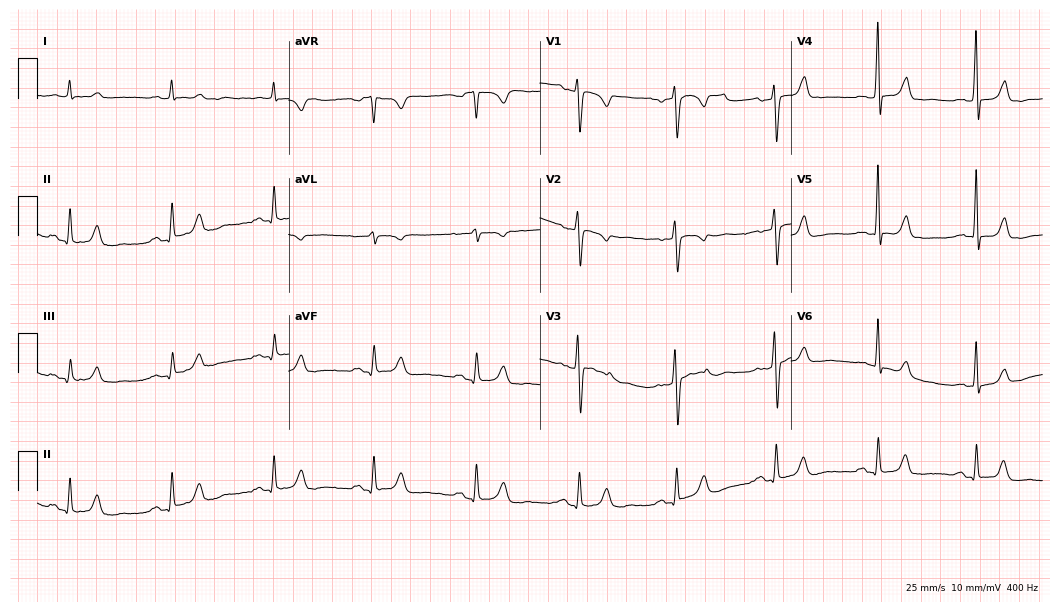
ECG — a female patient, 39 years old. Screened for six findings — first-degree AV block, right bundle branch block, left bundle branch block, sinus bradycardia, atrial fibrillation, sinus tachycardia — none is recorded.